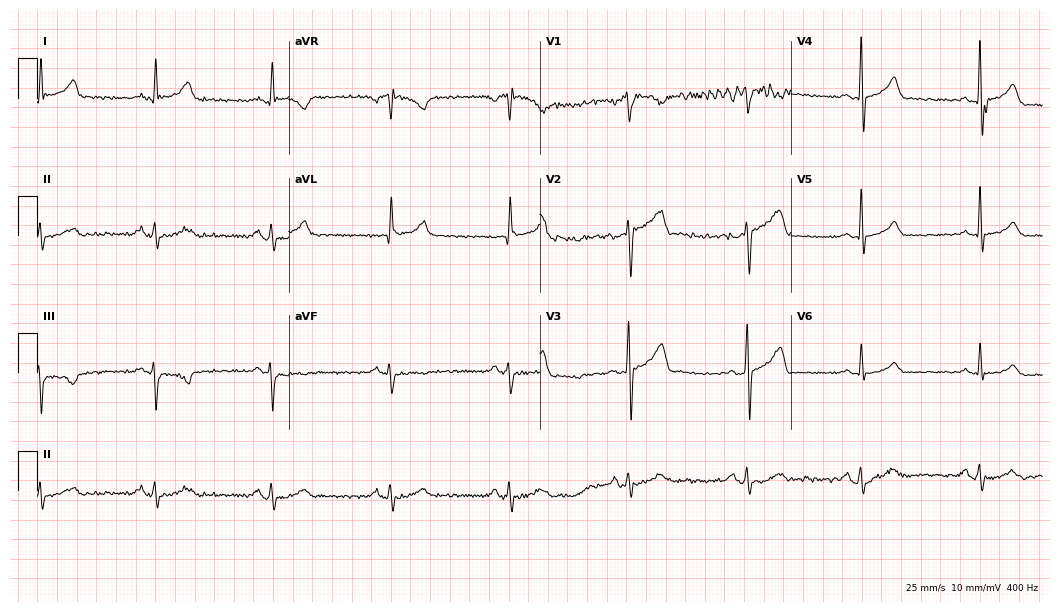
Resting 12-lead electrocardiogram. Patient: a 44-year-old male. None of these six findings is recorded: first-degree AV block, right bundle branch block, left bundle branch block, sinus bradycardia, atrial fibrillation, sinus tachycardia. Only these six findings were labelled.